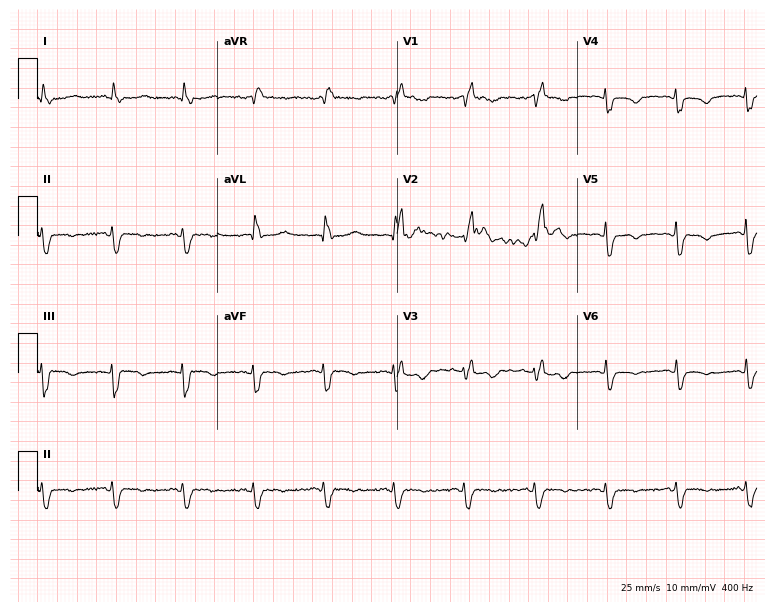
12-lead ECG (7.3-second recording at 400 Hz) from an 84-year-old female. Findings include right bundle branch block.